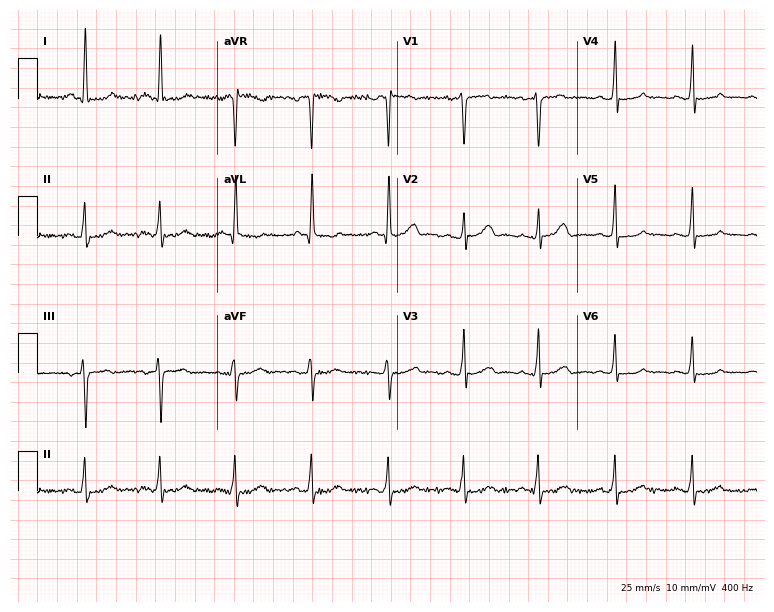
Resting 12-lead electrocardiogram. Patient: a woman, 48 years old. None of these six findings is recorded: first-degree AV block, right bundle branch block, left bundle branch block, sinus bradycardia, atrial fibrillation, sinus tachycardia. Only these six findings were labelled.